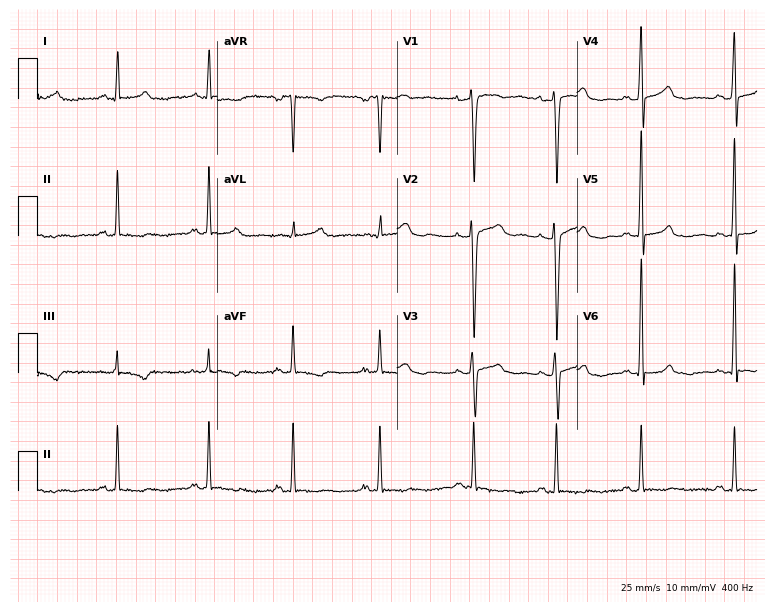
12-lead ECG from a 29-year-old woman. Labelled as a normal ECG.